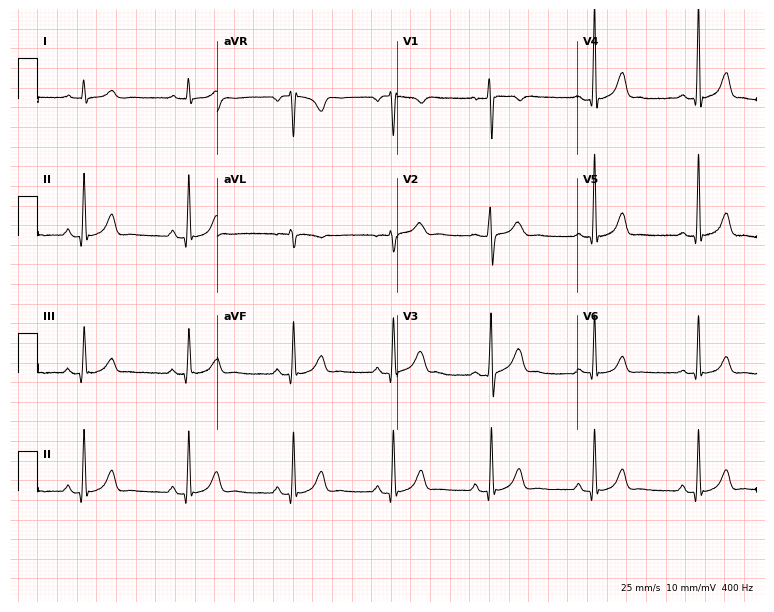
ECG — a man, 25 years old. Labelled as a normal ECG.